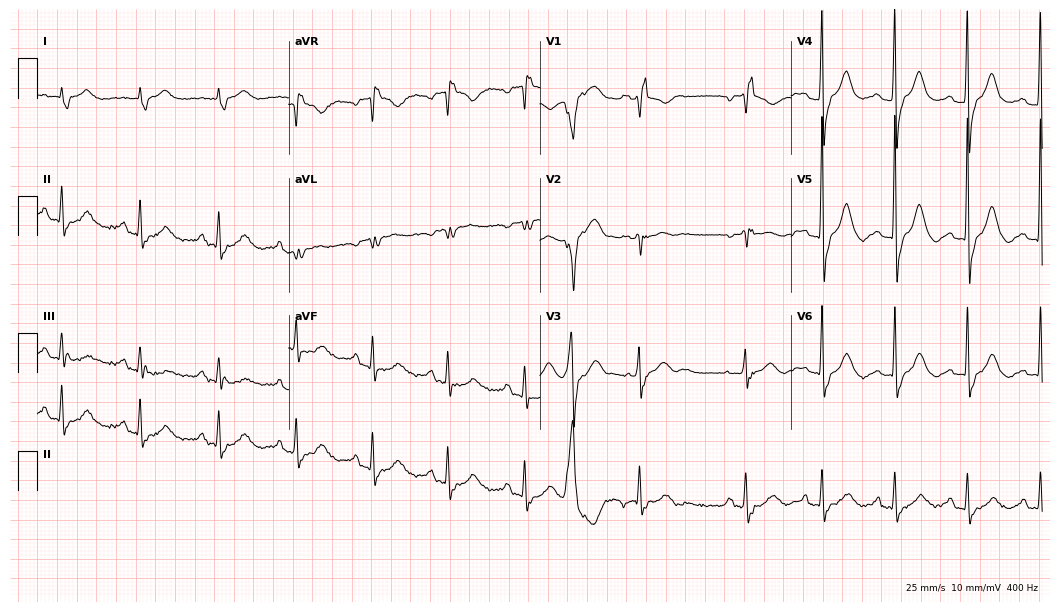
Standard 12-lead ECG recorded from a man, 77 years old (10.2-second recording at 400 Hz). The tracing shows right bundle branch block (RBBB).